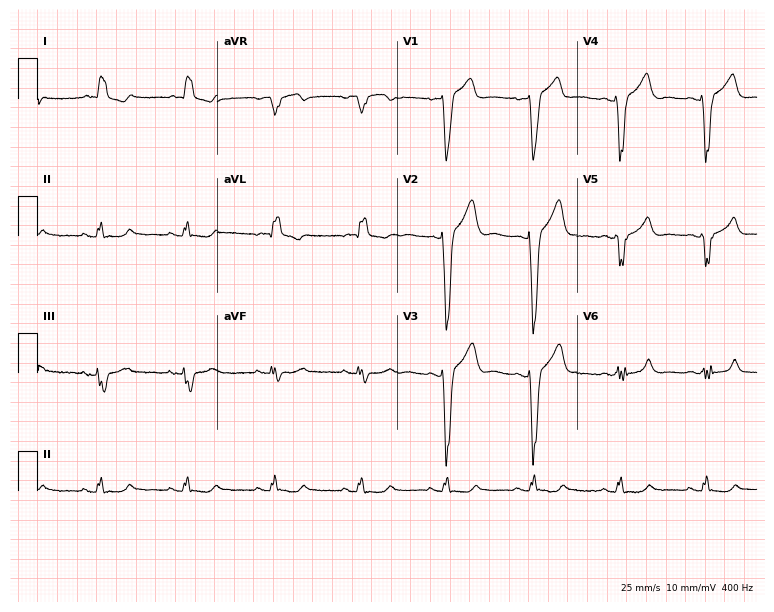
ECG — a 65-year-old male patient. Findings include left bundle branch block.